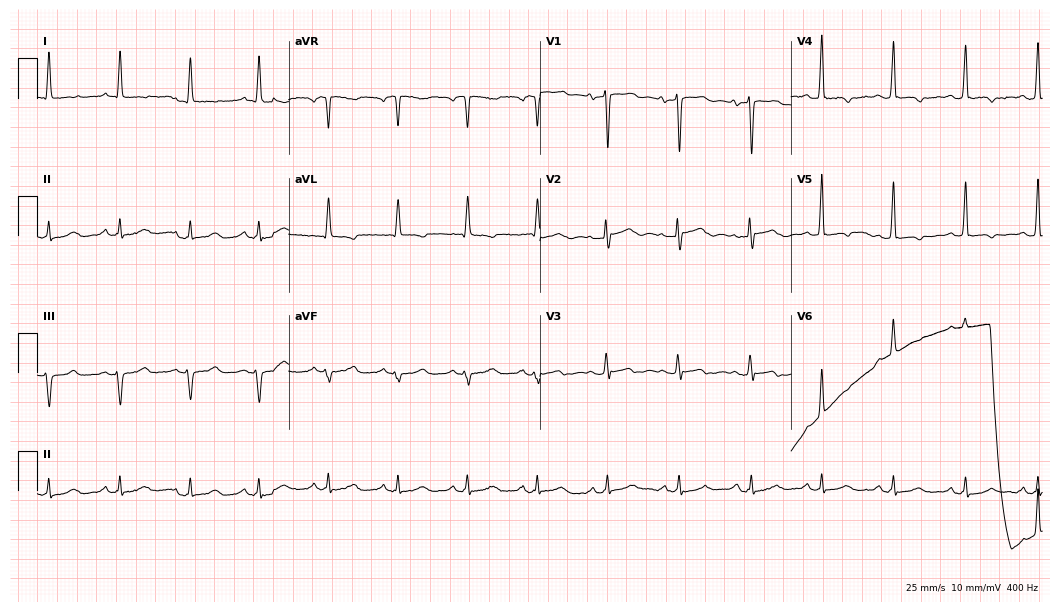
12-lead ECG from a female, 82 years old. Recorded interpretation: within normal limits.